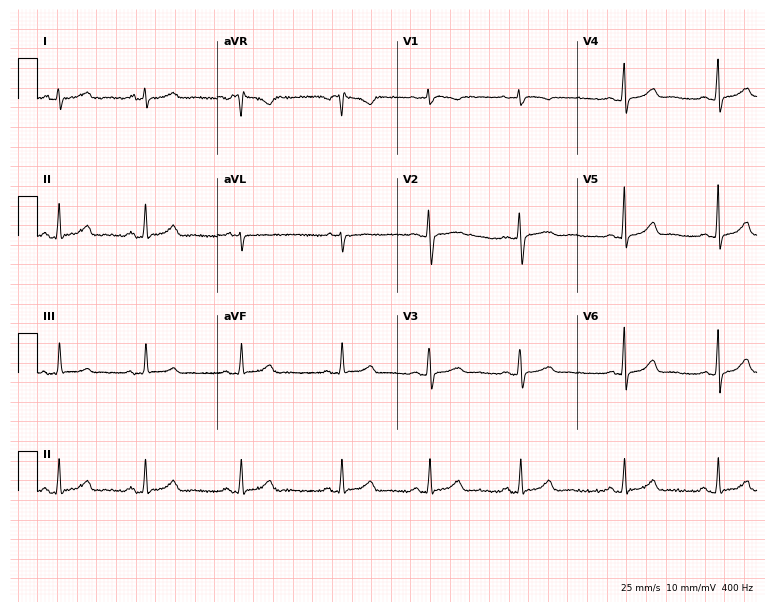
Electrocardiogram, a 31-year-old woman. Overall reading on record: normal ECG.